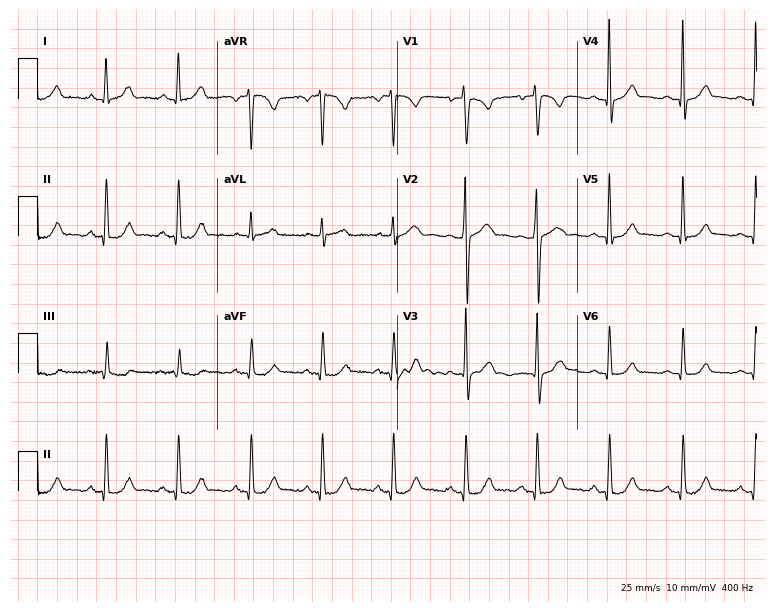
12-lead ECG (7.3-second recording at 400 Hz) from a man, 46 years old. Labelled as a normal ECG.